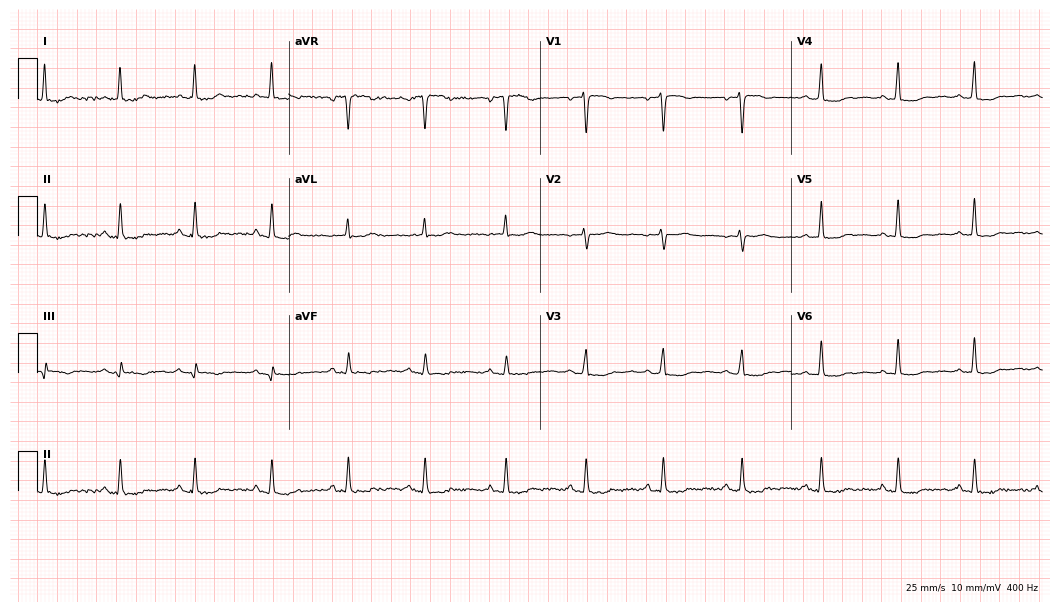
12-lead ECG from a female patient, 48 years old. Labelled as a normal ECG.